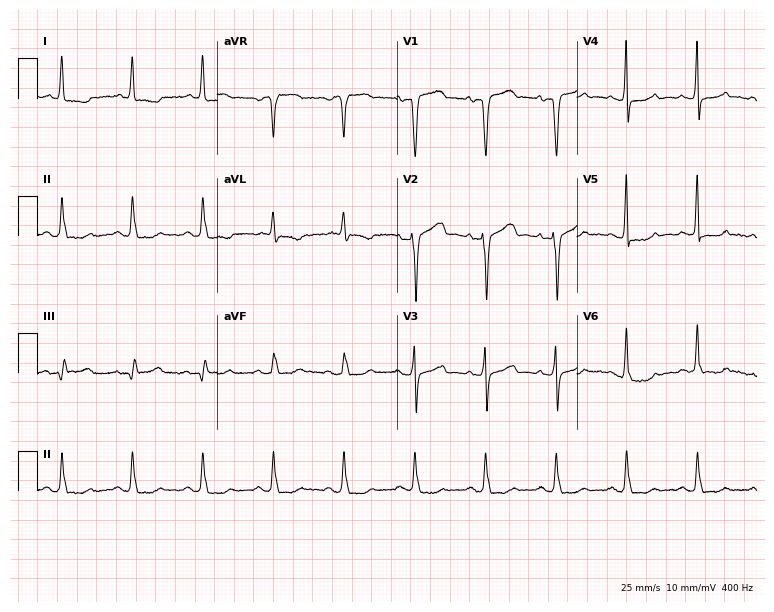
Resting 12-lead electrocardiogram (7.3-second recording at 400 Hz). Patient: a woman, 84 years old. None of these six findings is recorded: first-degree AV block, right bundle branch block, left bundle branch block, sinus bradycardia, atrial fibrillation, sinus tachycardia.